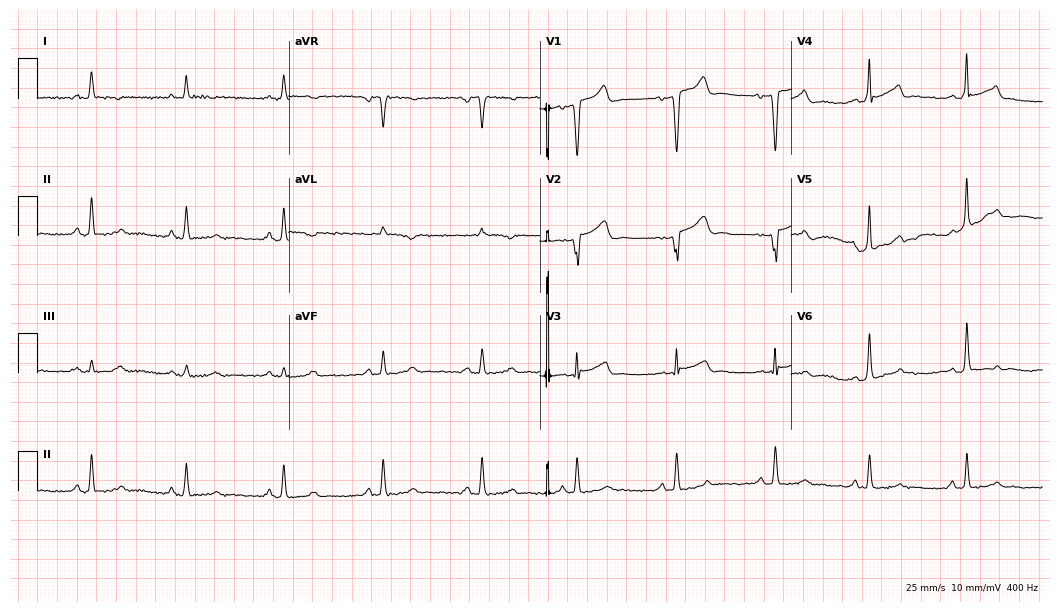
12-lead ECG (10.2-second recording at 400 Hz) from a 53-year-old male patient. Screened for six findings — first-degree AV block, right bundle branch block, left bundle branch block, sinus bradycardia, atrial fibrillation, sinus tachycardia — none is recorded.